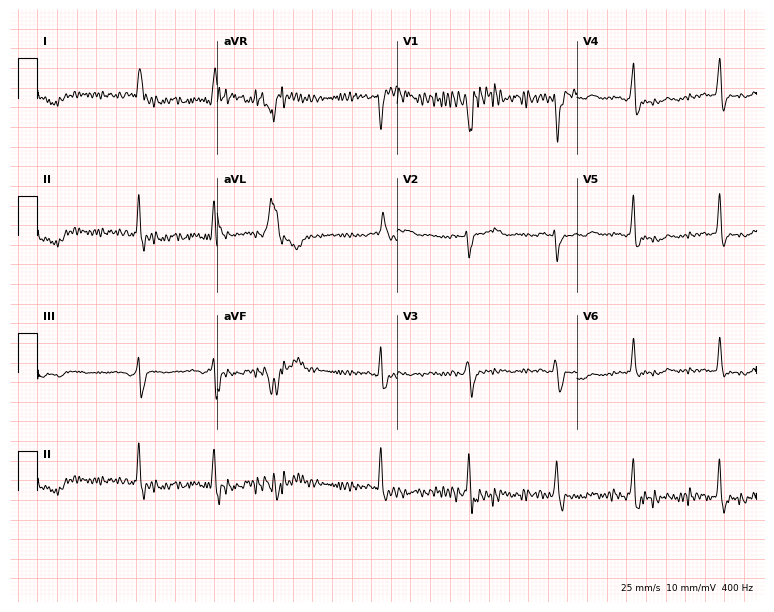
12-lead ECG (7.3-second recording at 400 Hz) from an 85-year-old female. Screened for six findings — first-degree AV block, right bundle branch block (RBBB), left bundle branch block (LBBB), sinus bradycardia, atrial fibrillation (AF), sinus tachycardia — none is recorded. Findings outside these six are not listed.